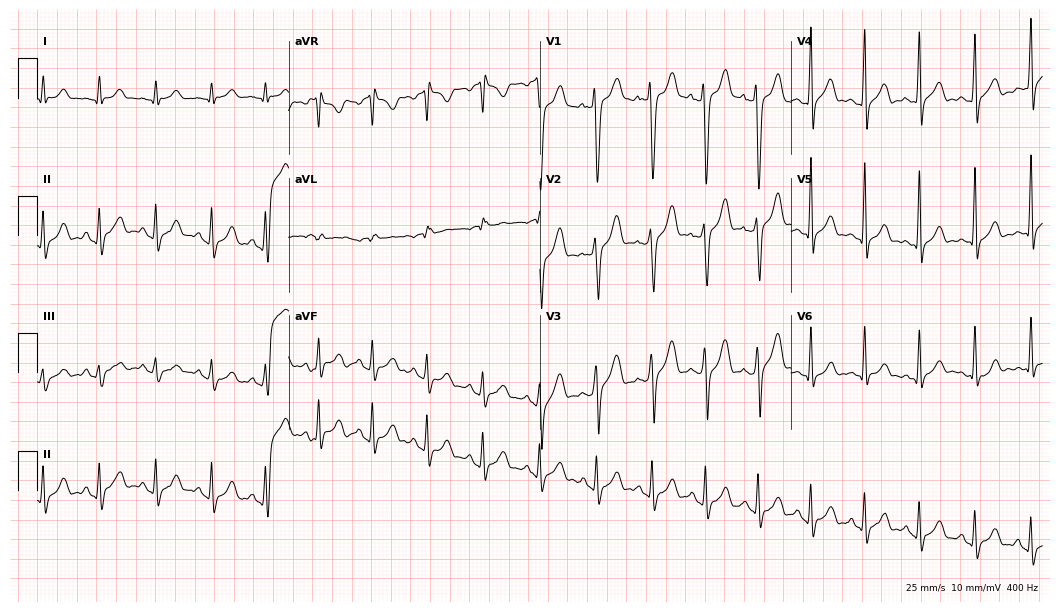
Resting 12-lead electrocardiogram (10.2-second recording at 400 Hz). Patient: a man, 19 years old. The tracing shows sinus tachycardia (a sinus rate of 100 beats per minute or more).